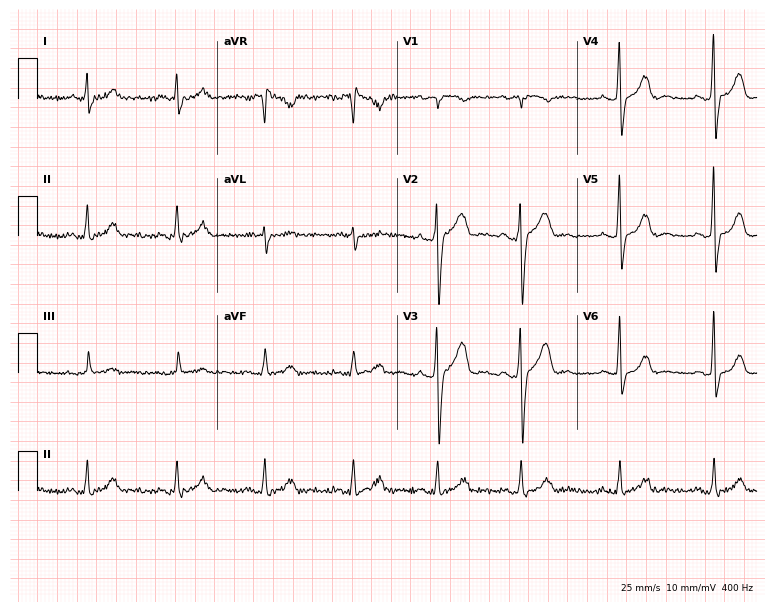
Electrocardiogram (7.3-second recording at 400 Hz), a female, 77 years old. Of the six screened findings (first-degree AV block, right bundle branch block, left bundle branch block, sinus bradycardia, atrial fibrillation, sinus tachycardia), none is recorded.